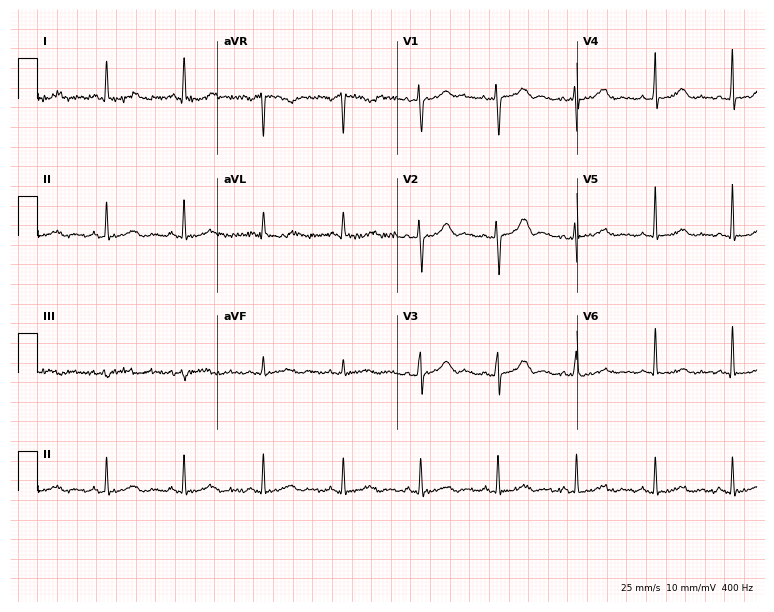
Resting 12-lead electrocardiogram (7.3-second recording at 400 Hz). Patient: a 53-year-old female. None of these six findings is recorded: first-degree AV block, right bundle branch block, left bundle branch block, sinus bradycardia, atrial fibrillation, sinus tachycardia. Only these six findings were labelled.